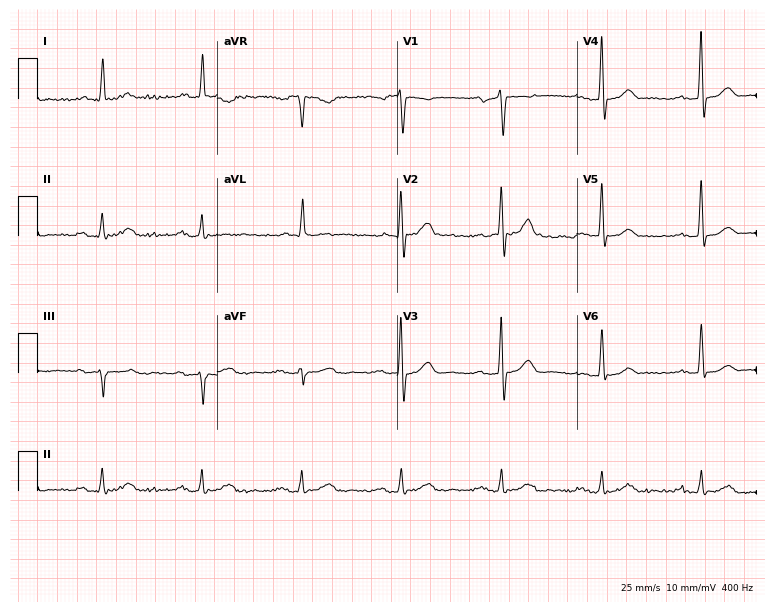
Standard 12-lead ECG recorded from a 79-year-old male. None of these six findings is recorded: first-degree AV block, right bundle branch block (RBBB), left bundle branch block (LBBB), sinus bradycardia, atrial fibrillation (AF), sinus tachycardia.